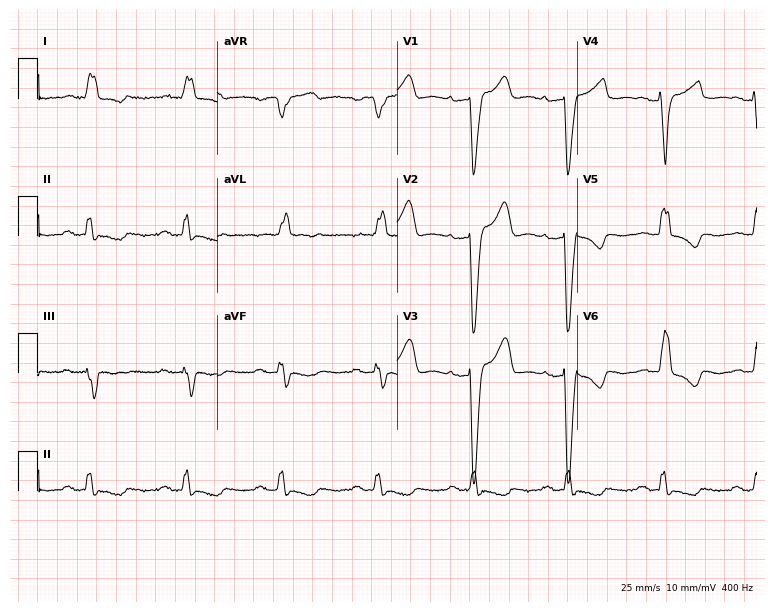
Standard 12-lead ECG recorded from a 77-year-old woman (7.3-second recording at 400 Hz). The tracing shows left bundle branch block.